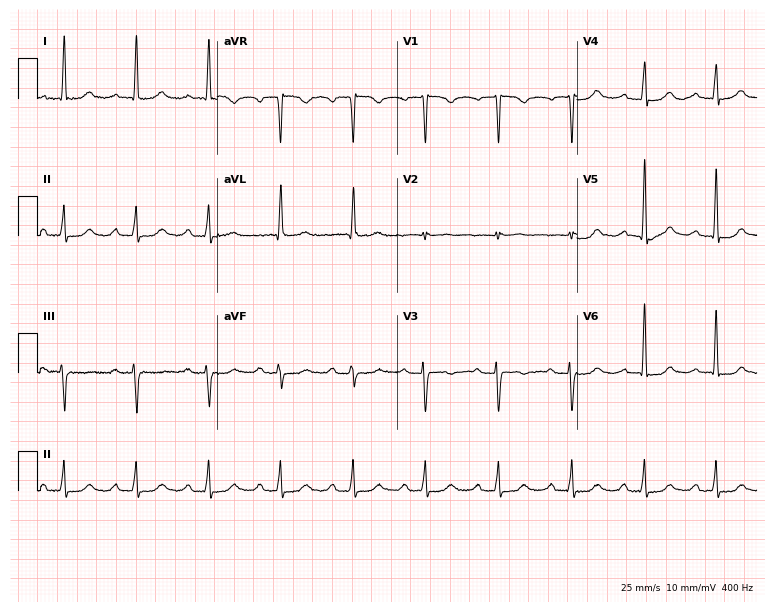
ECG — a female, 83 years old. Findings include first-degree AV block.